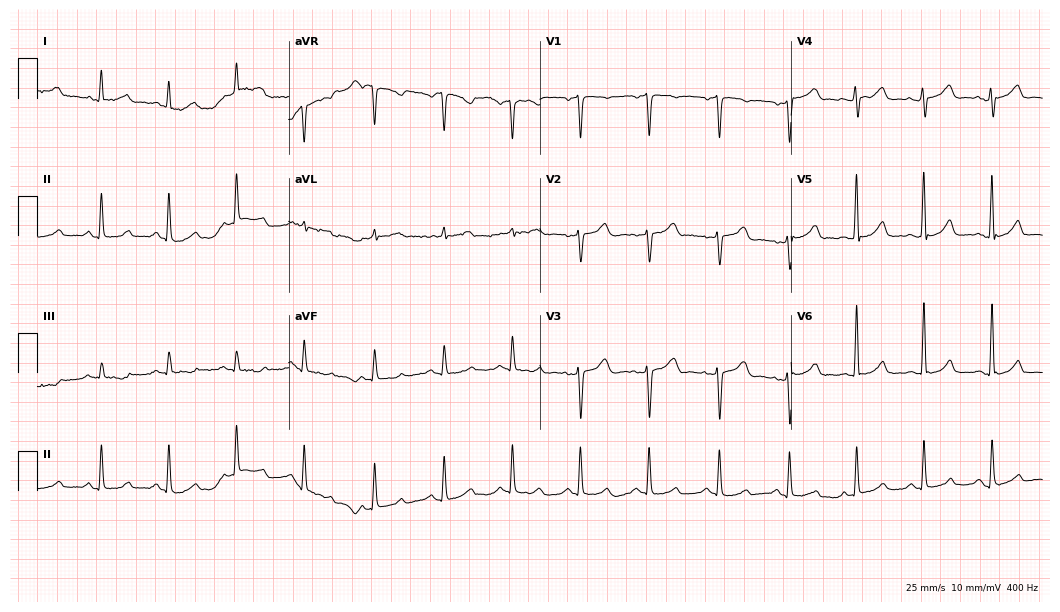
Resting 12-lead electrocardiogram. Patient: a female, 54 years old. Read as a normal ECG.